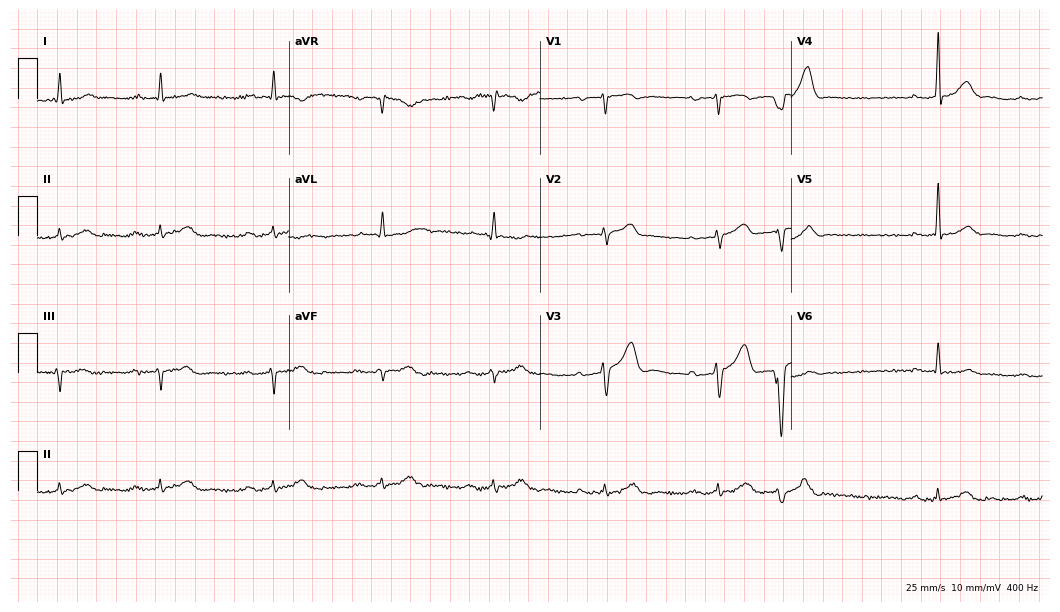
Resting 12-lead electrocardiogram (10.2-second recording at 400 Hz). Patient: a 64-year-old male. The tracing shows first-degree AV block.